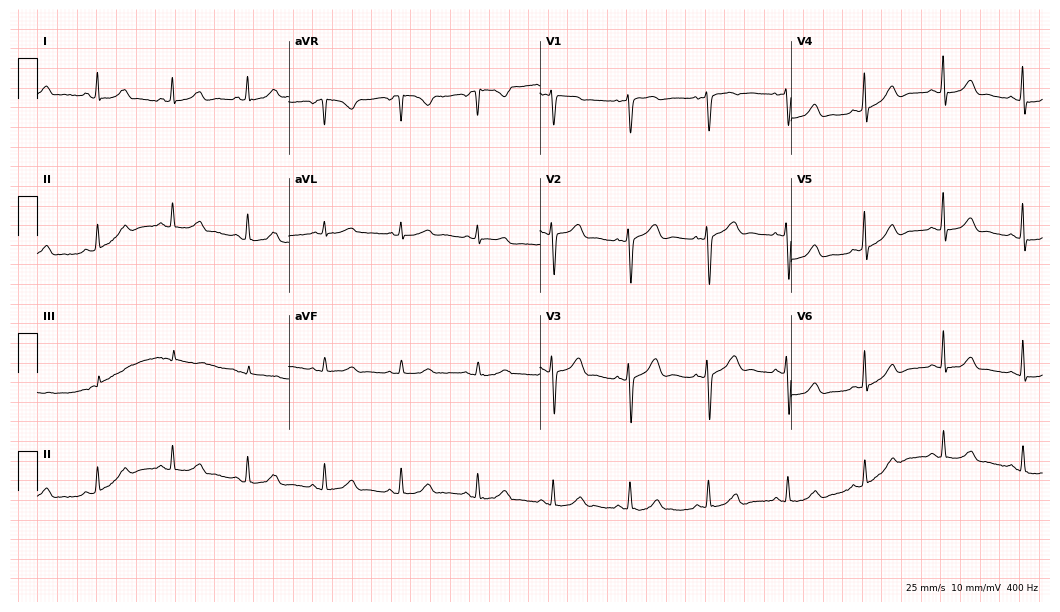
12-lead ECG (10.2-second recording at 400 Hz) from a 44-year-old female patient. Labelled as a normal ECG.